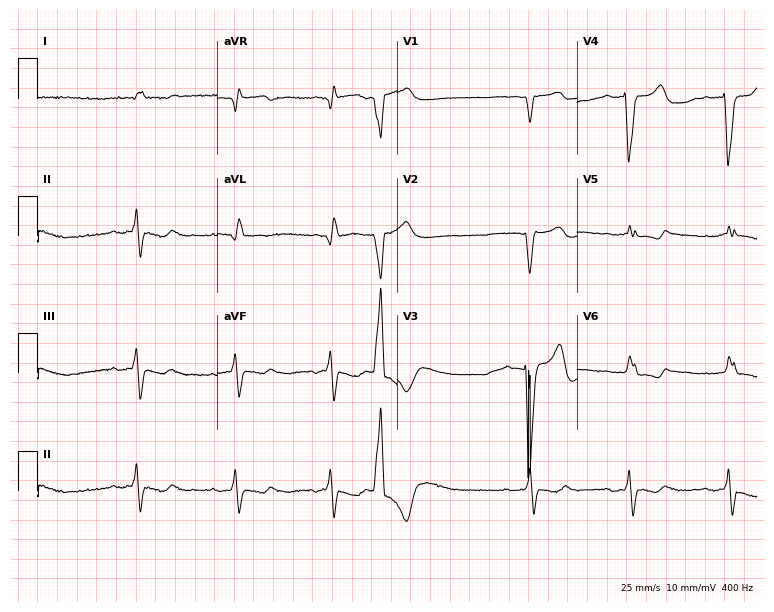
ECG — an 84-year-old man. Findings include left bundle branch block, atrial fibrillation.